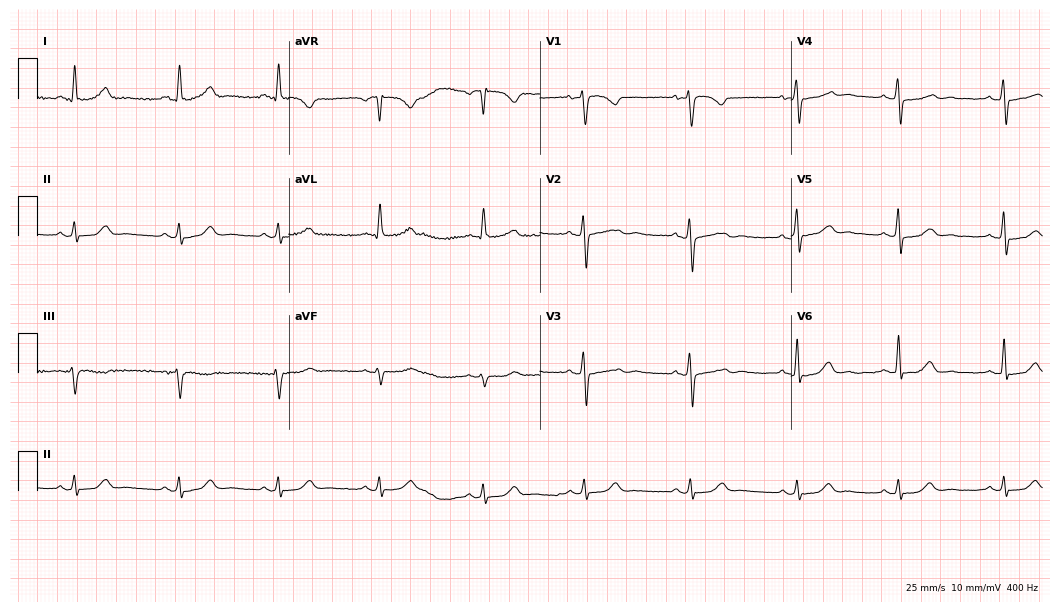
12-lead ECG from a female patient, 57 years old (10.2-second recording at 400 Hz). Recorded interpretation: within normal limits.